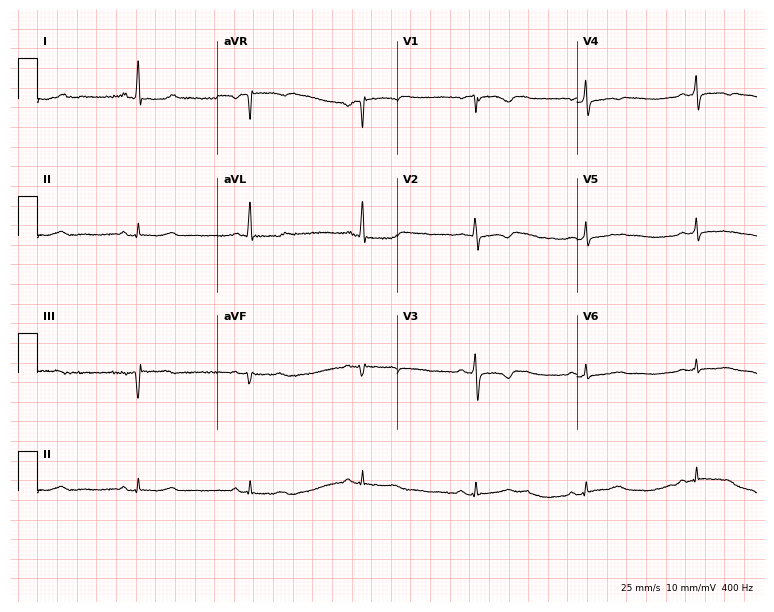
12-lead ECG from a 68-year-old female (7.3-second recording at 400 Hz). No first-degree AV block, right bundle branch block, left bundle branch block, sinus bradycardia, atrial fibrillation or sinus tachycardia recorded for this tracing. Other findings, if any, are not listed.